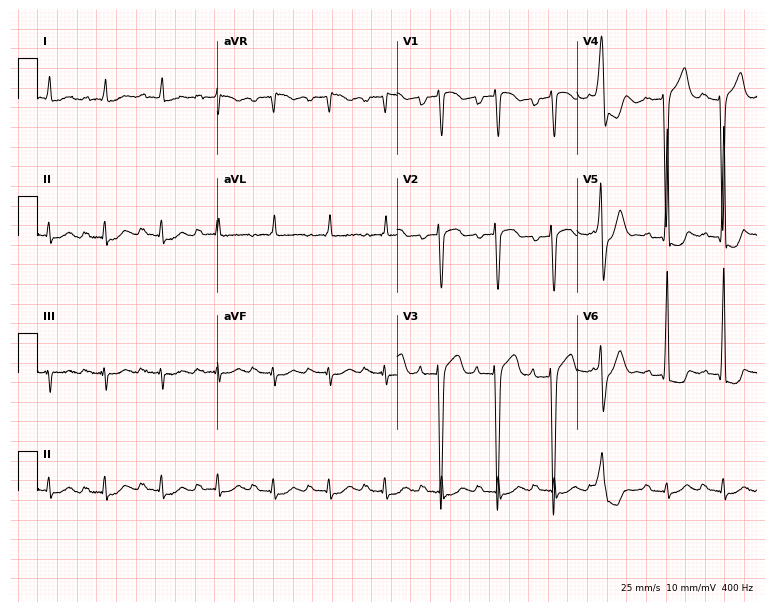
12-lead ECG from a female patient, 84 years old. Screened for six findings — first-degree AV block, right bundle branch block, left bundle branch block, sinus bradycardia, atrial fibrillation, sinus tachycardia — none is recorded. Other findings, if any, are not listed.